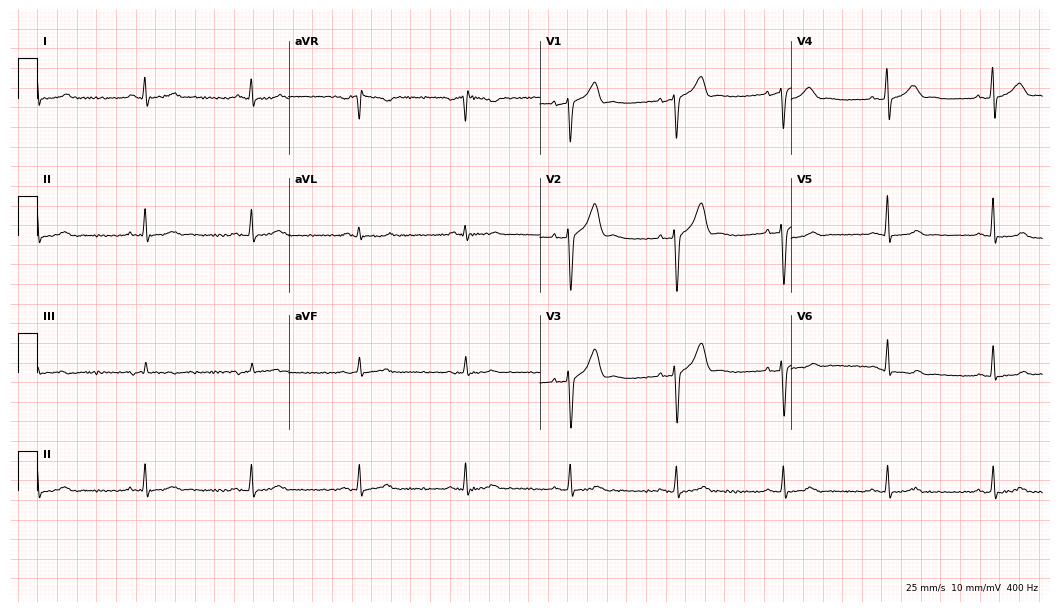
12-lead ECG from a 59-year-old male patient. No first-degree AV block, right bundle branch block, left bundle branch block, sinus bradycardia, atrial fibrillation or sinus tachycardia recorded for this tracing.